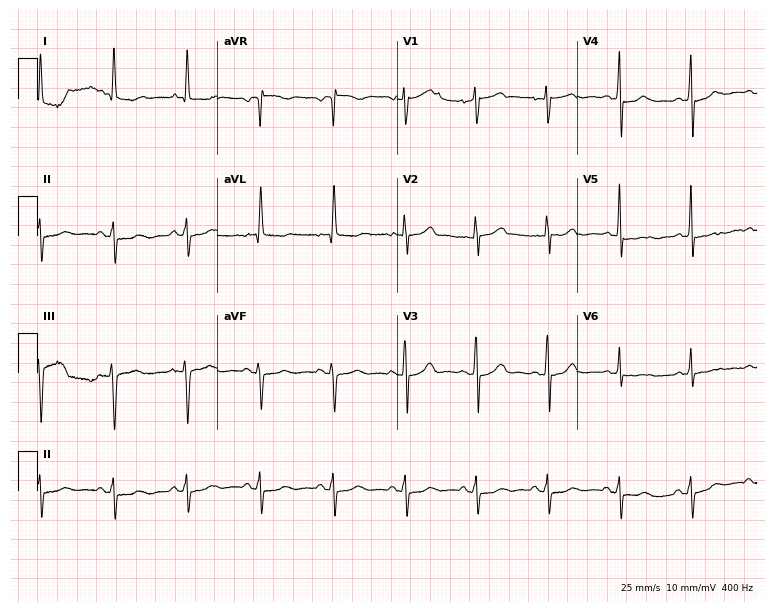
ECG (7.3-second recording at 400 Hz) — a woman, 77 years old. Screened for six findings — first-degree AV block, right bundle branch block, left bundle branch block, sinus bradycardia, atrial fibrillation, sinus tachycardia — none is recorded.